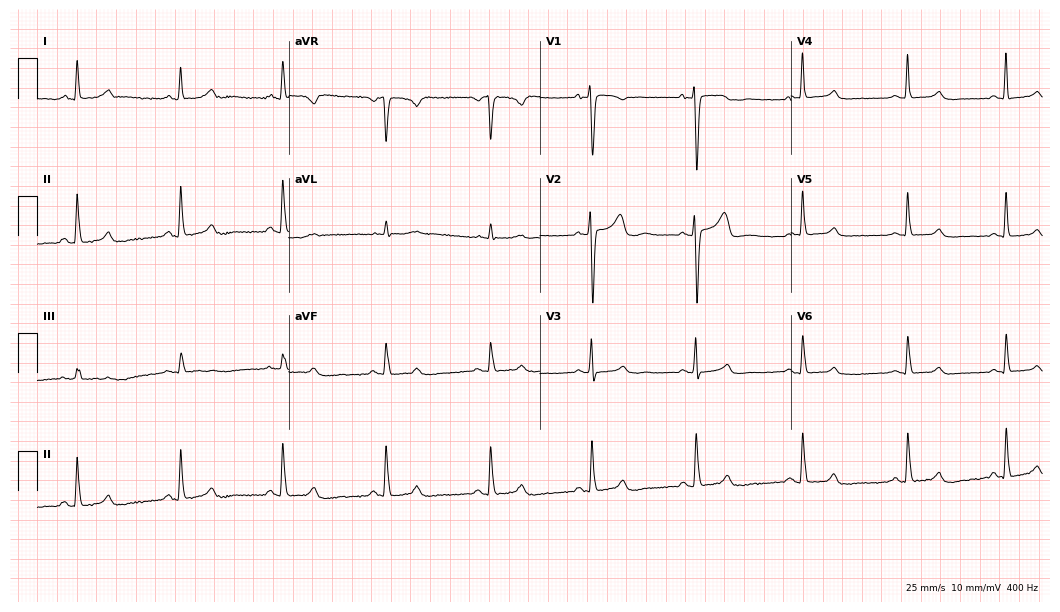
12-lead ECG (10.2-second recording at 400 Hz) from a 53-year-old female patient. Labelled as a normal ECG.